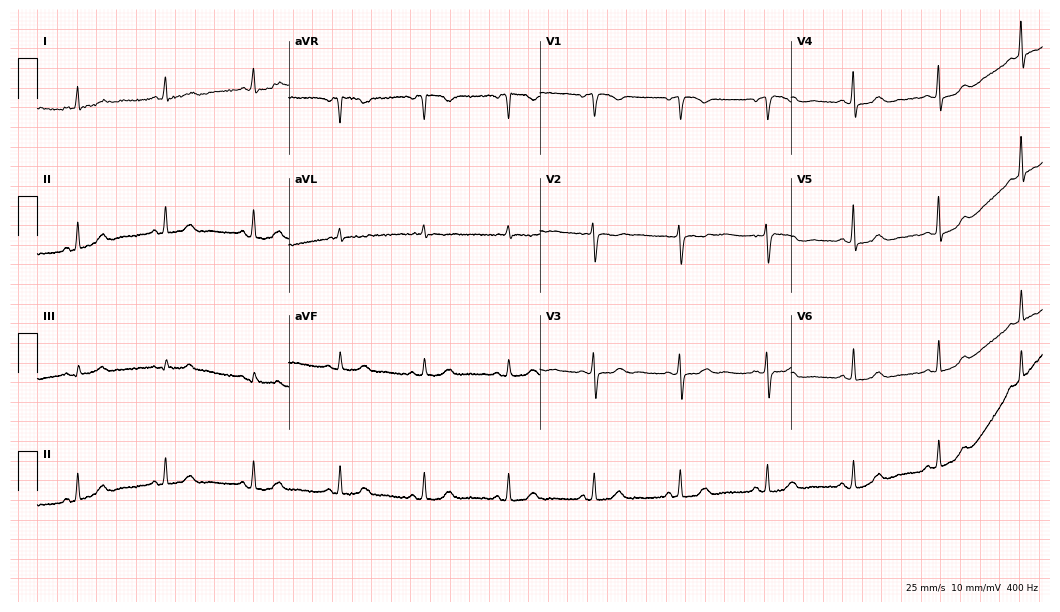
Standard 12-lead ECG recorded from a female patient, 50 years old. None of these six findings is recorded: first-degree AV block, right bundle branch block, left bundle branch block, sinus bradycardia, atrial fibrillation, sinus tachycardia.